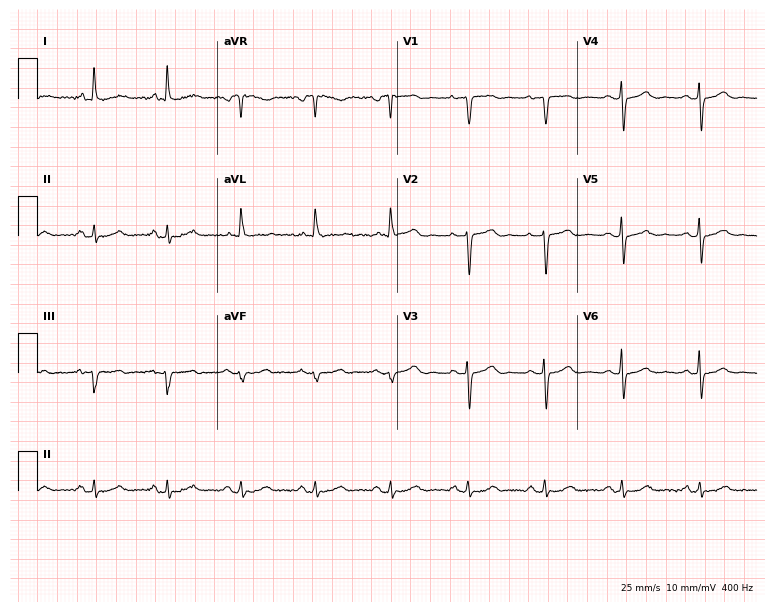
12-lead ECG from a 77-year-old female patient (7.3-second recording at 400 Hz). No first-degree AV block, right bundle branch block, left bundle branch block, sinus bradycardia, atrial fibrillation or sinus tachycardia recorded for this tracing.